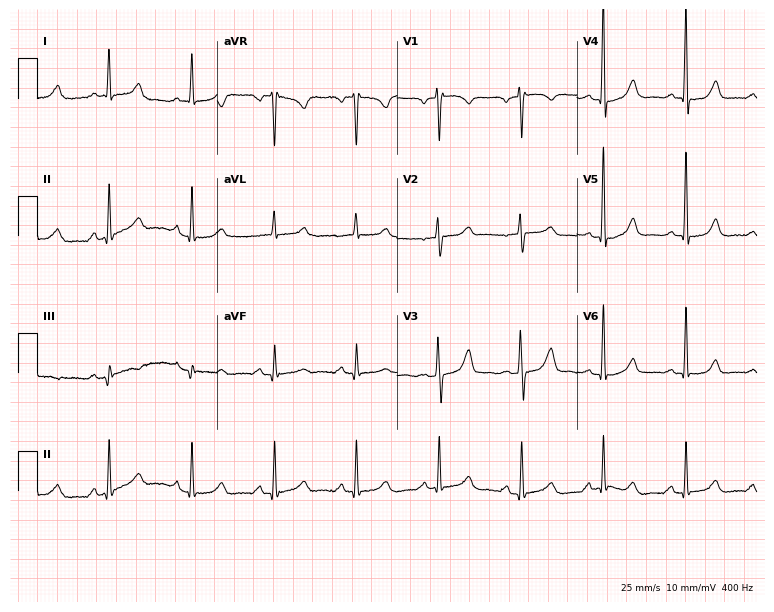
ECG (7.3-second recording at 400 Hz) — a 56-year-old woman. Labelled as a normal ECG.